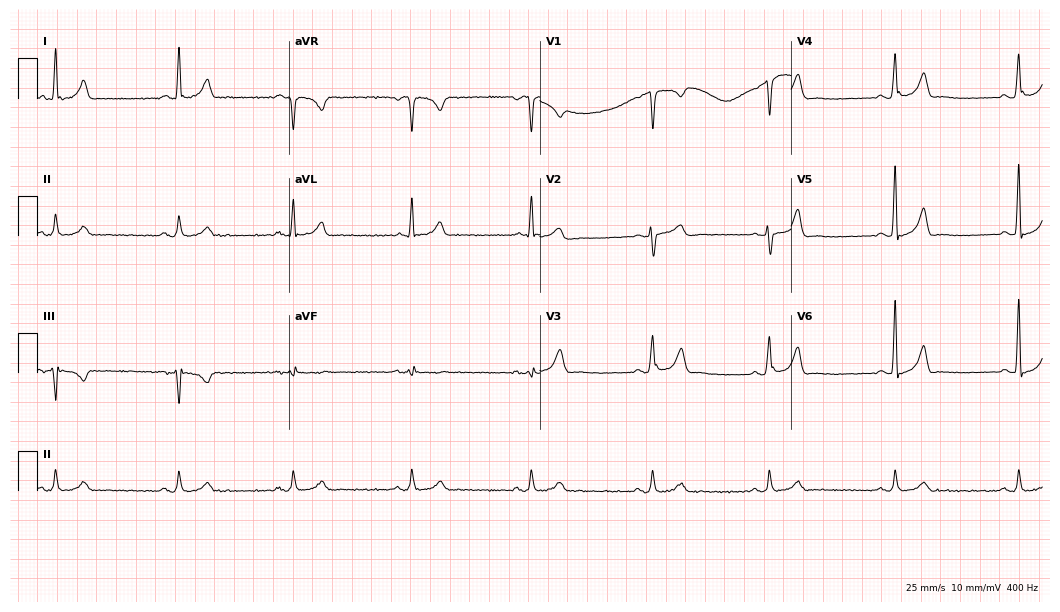
Electrocardiogram (10.2-second recording at 400 Hz), a man, 46 years old. Overall reading on record: normal ECG.